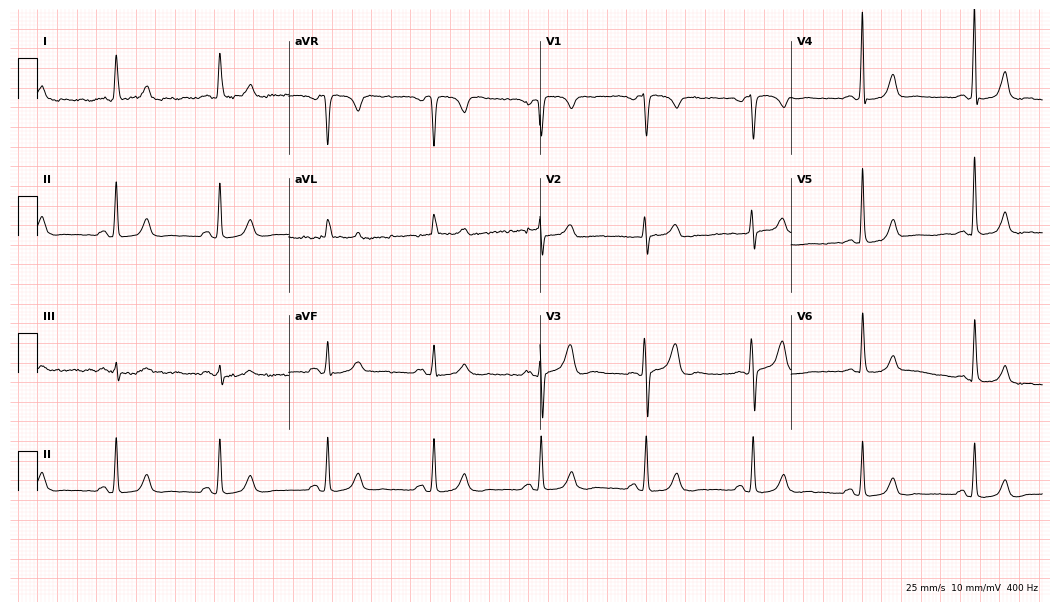
12-lead ECG from a 65-year-old female. Recorded interpretation: within normal limits.